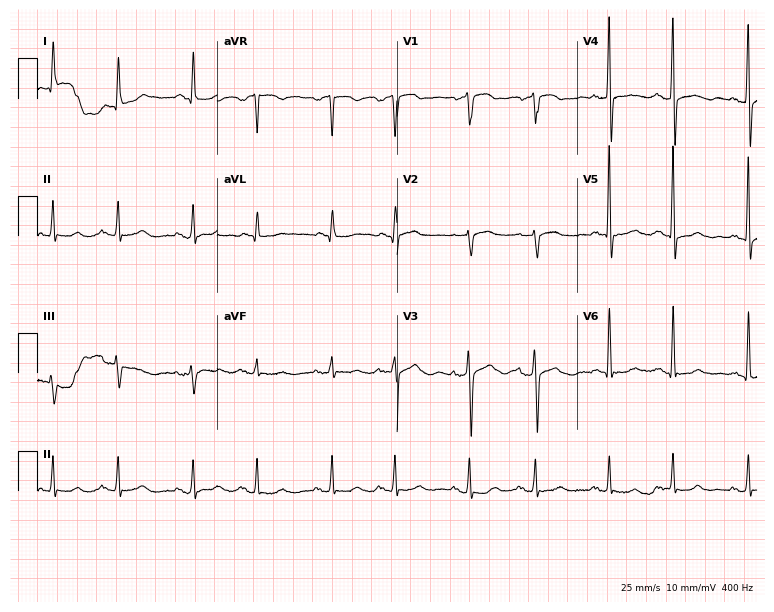
ECG (7.3-second recording at 400 Hz) — a 70-year-old woman. Screened for six findings — first-degree AV block, right bundle branch block, left bundle branch block, sinus bradycardia, atrial fibrillation, sinus tachycardia — none is recorded.